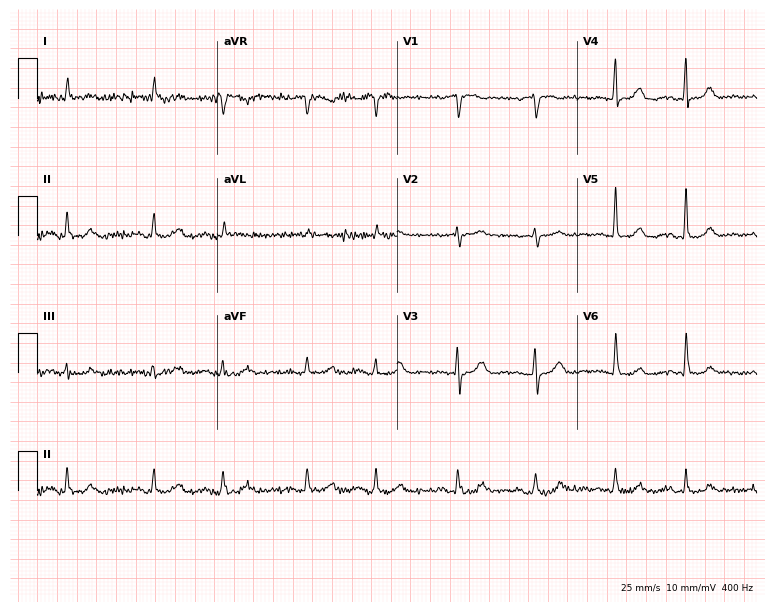
Electrocardiogram (7.3-second recording at 400 Hz), a male patient, 80 years old. Of the six screened findings (first-degree AV block, right bundle branch block, left bundle branch block, sinus bradycardia, atrial fibrillation, sinus tachycardia), none is recorded.